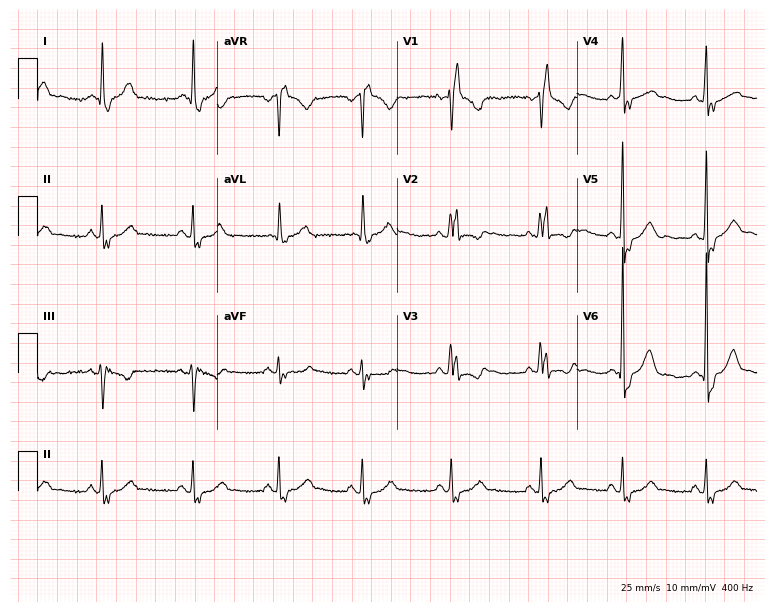
12-lead ECG (7.3-second recording at 400 Hz) from a man, 56 years old. Findings include right bundle branch block.